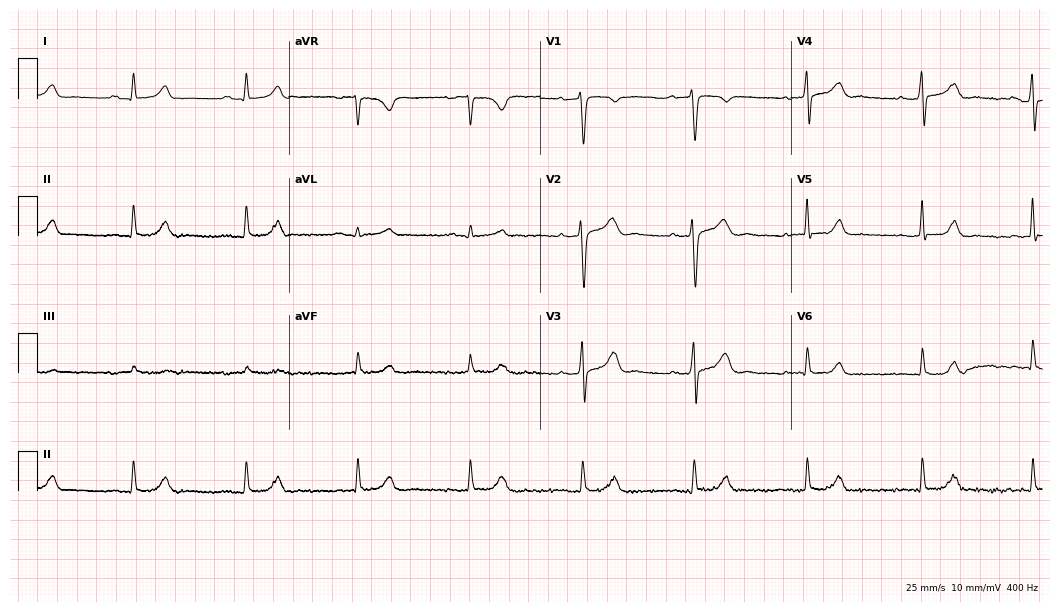
Resting 12-lead electrocardiogram. Patient: a 43-year-old male. Read as a normal ECG.